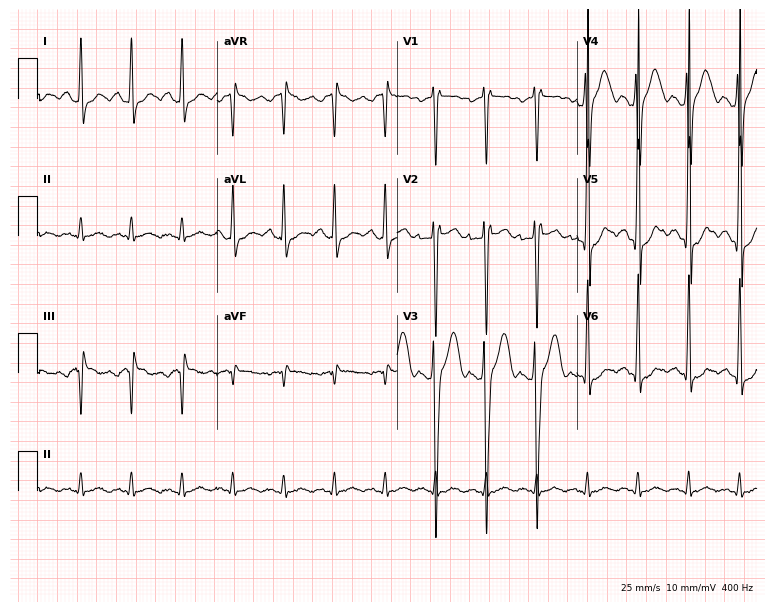
ECG (7.3-second recording at 400 Hz) — a 19-year-old man. Screened for six findings — first-degree AV block, right bundle branch block (RBBB), left bundle branch block (LBBB), sinus bradycardia, atrial fibrillation (AF), sinus tachycardia — none is recorded. Findings outside these six are not listed.